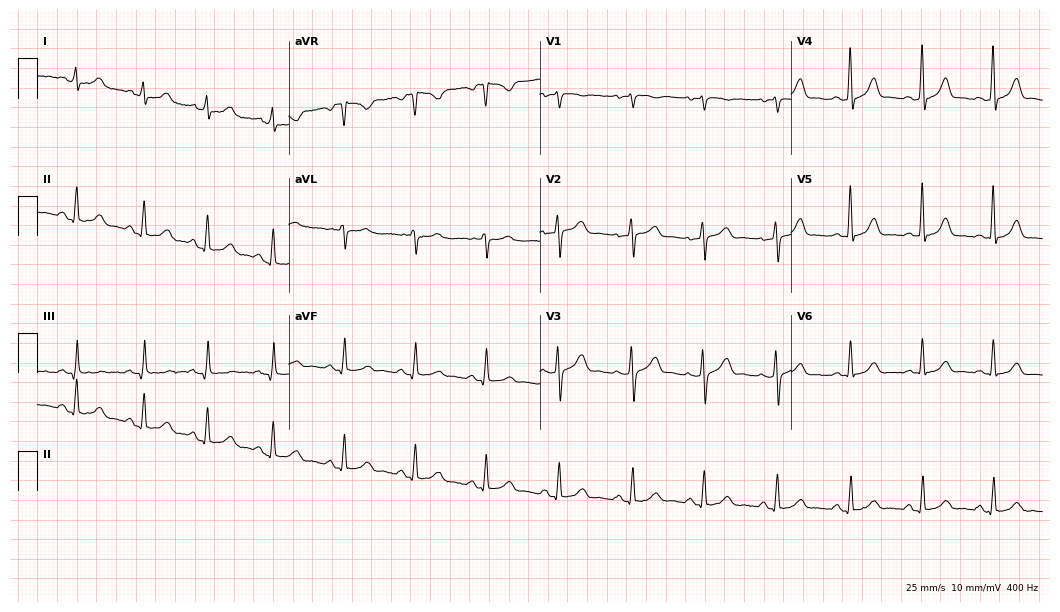
Resting 12-lead electrocardiogram (10.2-second recording at 400 Hz). Patient: a 37-year-old woman. Read as a normal ECG.